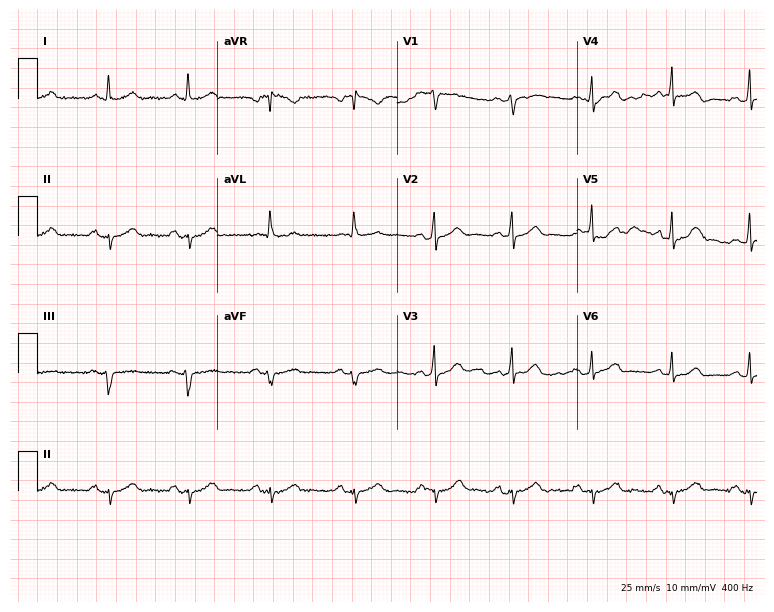
12-lead ECG (7.3-second recording at 400 Hz) from a 32-year-old female patient. Screened for six findings — first-degree AV block, right bundle branch block, left bundle branch block, sinus bradycardia, atrial fibrillation, sinus tachycardia — none is recorded. Other findings, if any, are not listed.